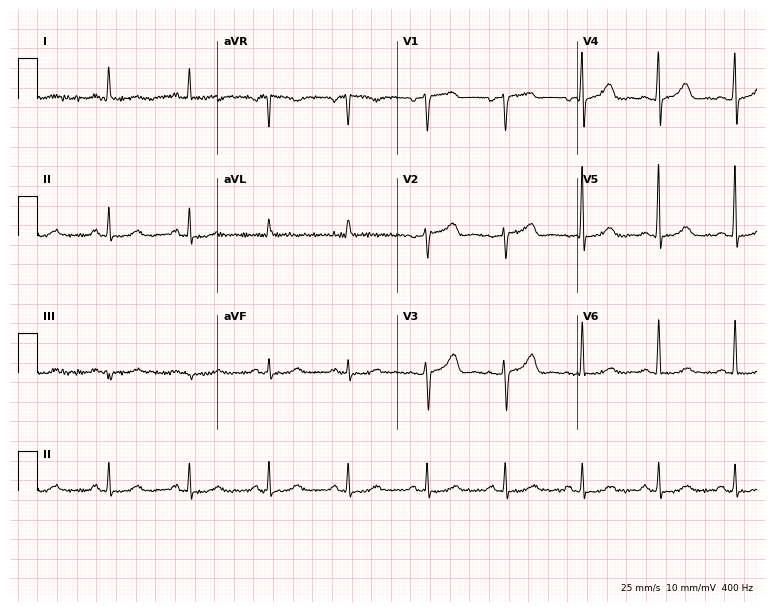
Electrocardiogram, a female patient, 79 years old. Of the six screened findings (first-degree AV block, right bundle branch block (RBBB), left bundle branch block (LBBB), sinus bradycardia, atrial fibrillation (AF), sinus tachycardia), none is recorded.